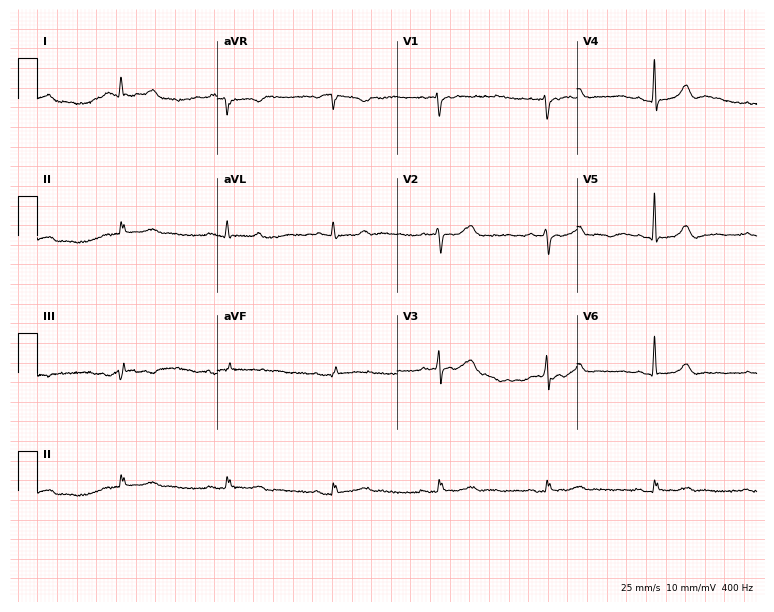
Electrocardiogram (7.3-second recording at 400 Hz), an 81-year-old male. Overall reading on record: normal ECG.